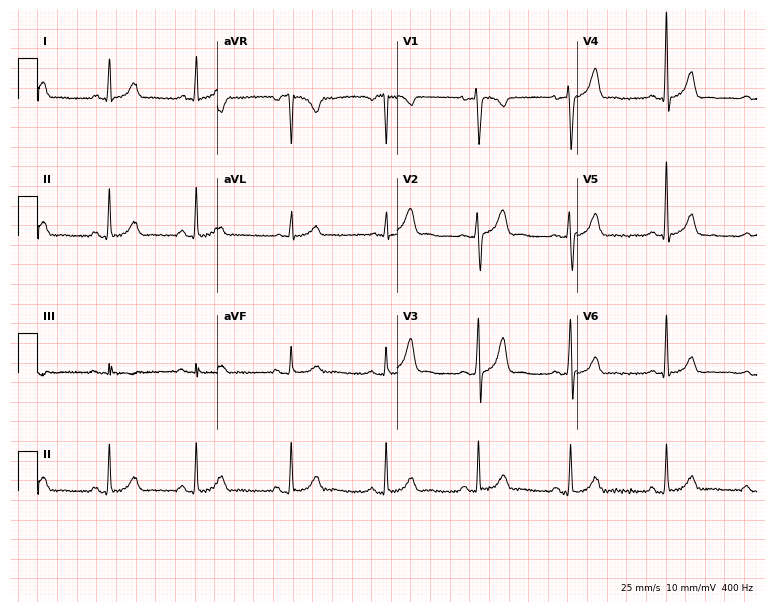
12-lead ECG from a female, 42 years old. Labelled as a normal ECG.